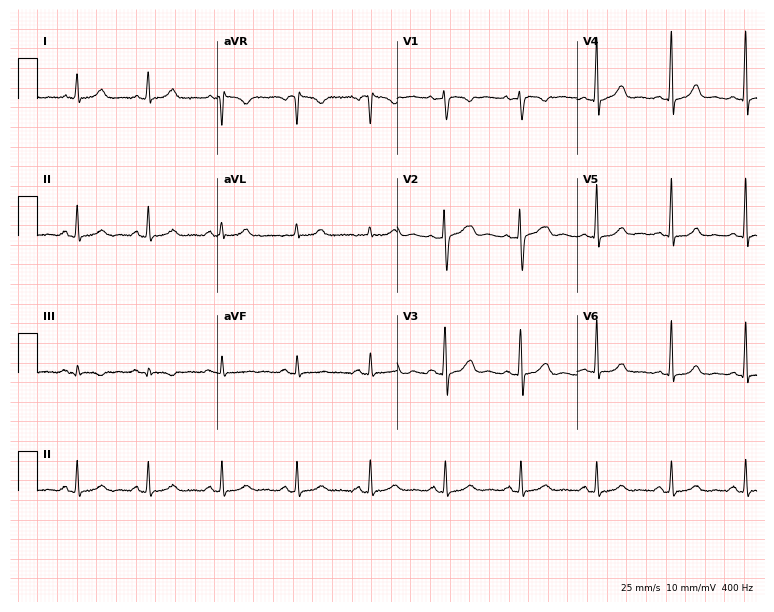
12-lead ECG from a 45-year-old female patient. Recorded interpretation: within normal limits.